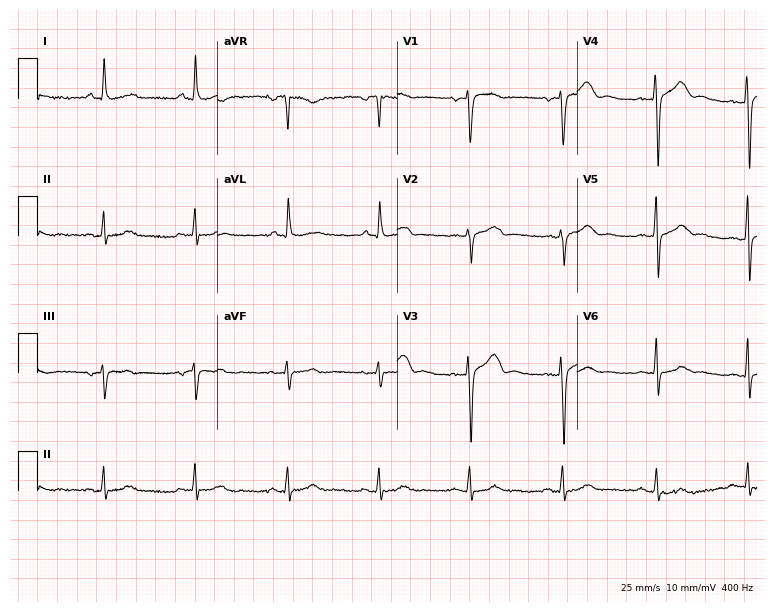
Electrocardiogram (7.3-second recording at 400 Hz), a 50-year-old woman. Overall reading on record: normal ECG.